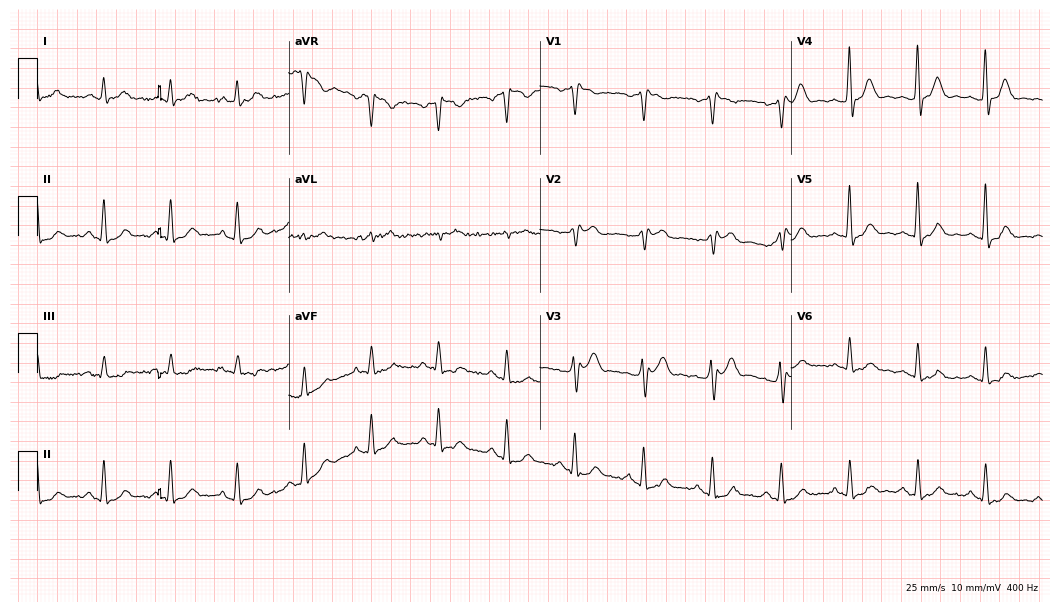
ECG (10.2-second recording at 400 Hz) — a 56-year-old male patient. Screened for six findings — first-degree AV block, right bundle branch block, left bundle branch block, sinus bradycardia, atrial fibrillation, sinus tachycardia — none is recorded. Other findings, if any, are not listed.